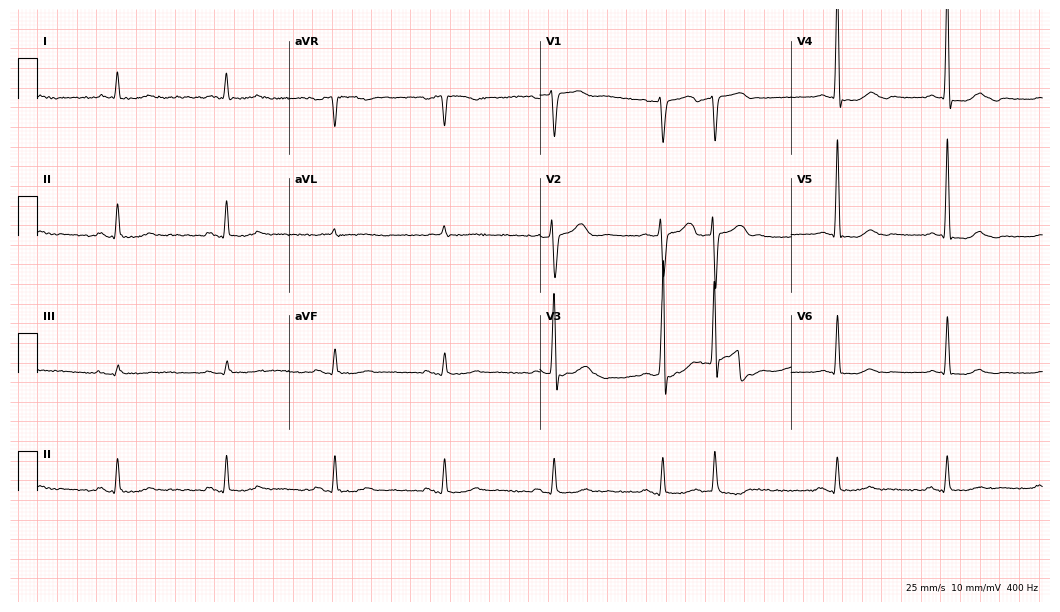
12-lead ECG (10.2-second recording at 400 Hz) from an 81-year-old woman. Screened for six findings — first-degree AV block, right bundle branch block, left bundle branch block, sinus bradycardia, atrial fibrillation, sinus tachycardia — none is recorded.